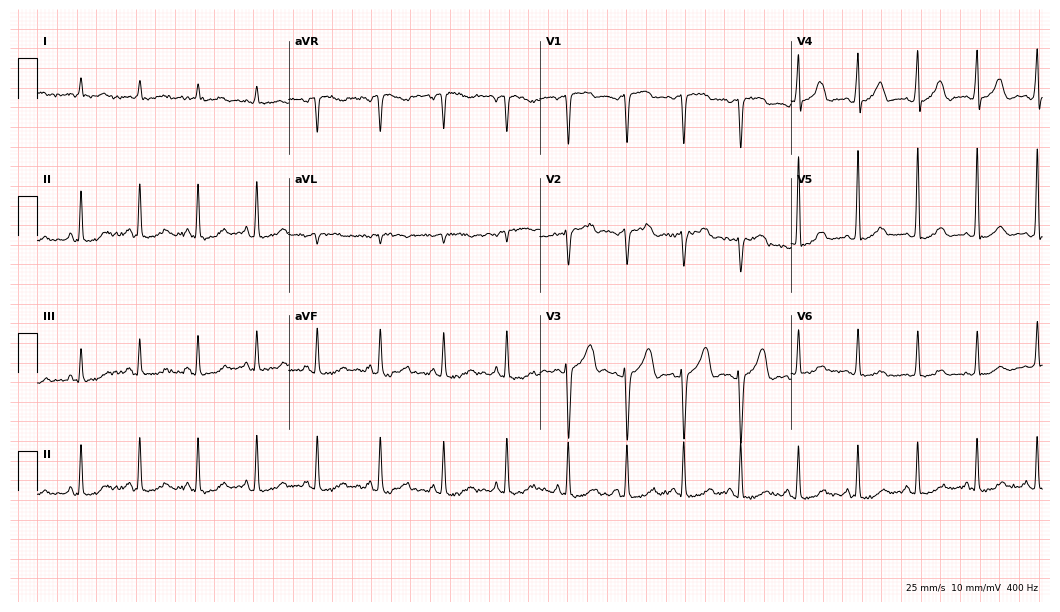
12-lead ECG from a 61-year-old man (10.2-second recording at 400 Hz). No first-degree AV block, right bundle branch block (RBBB), left bundle branch block (LBBB), sinus bradycardia, atrial fibrillation (AF) or sinus tachycardia recorded for this tracing. Findings outside these six are not listed.